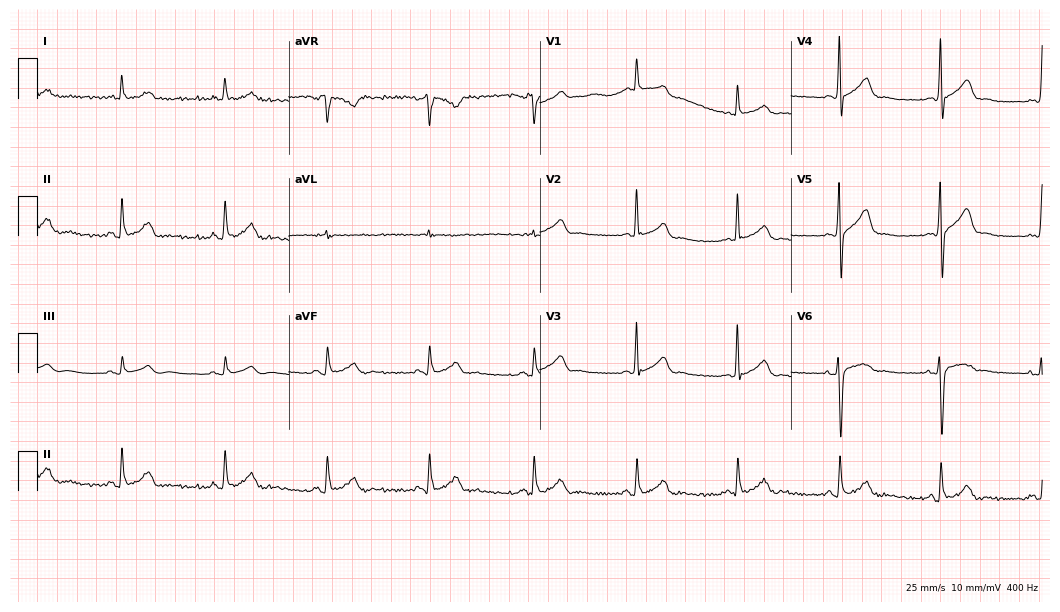
12-lead ECG from a male, 40 years old. Labelled as a normal ECG.